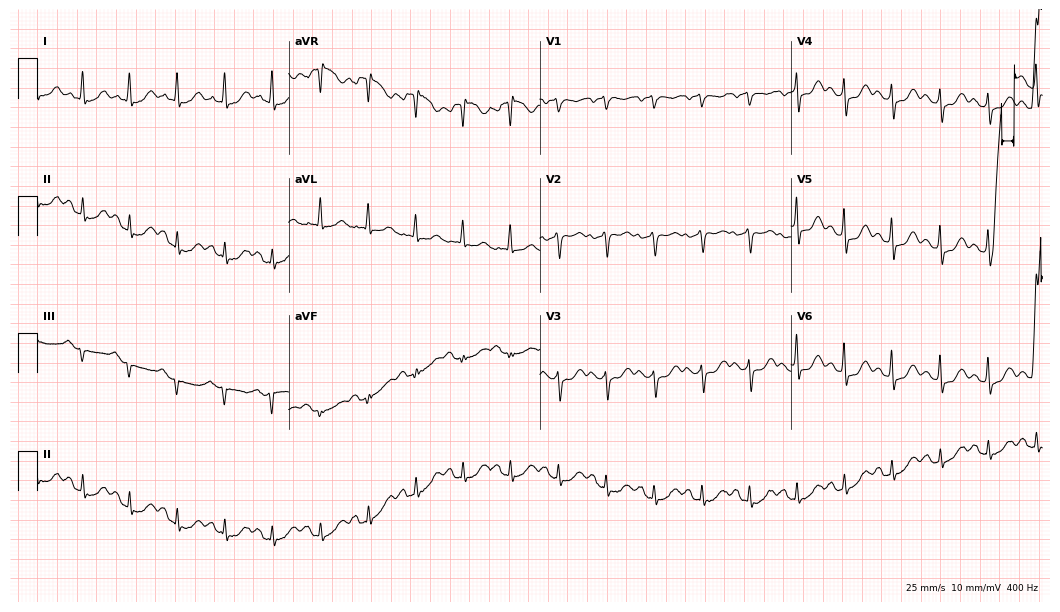
Standard 12-lead ECG recorded from a female, 68 years old. None of these six findings is recorded: first-degree AV block, right bundle branch block (RBBB), left bundle branch block (LBBB), sinus bradycardia, atrial fibrillation (AF), sinus tachycardia. Findings outside these six are not listed.